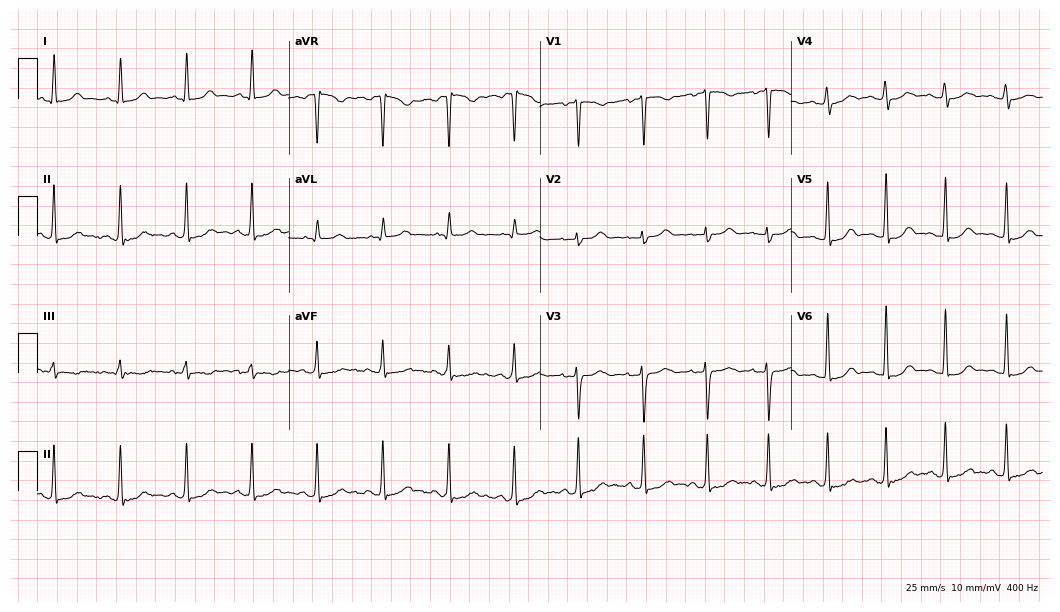
12-lead ECG from a 37-year-old female patient (10.2-second recording at 400 Hz). Recorded interpretation: within normal limits.